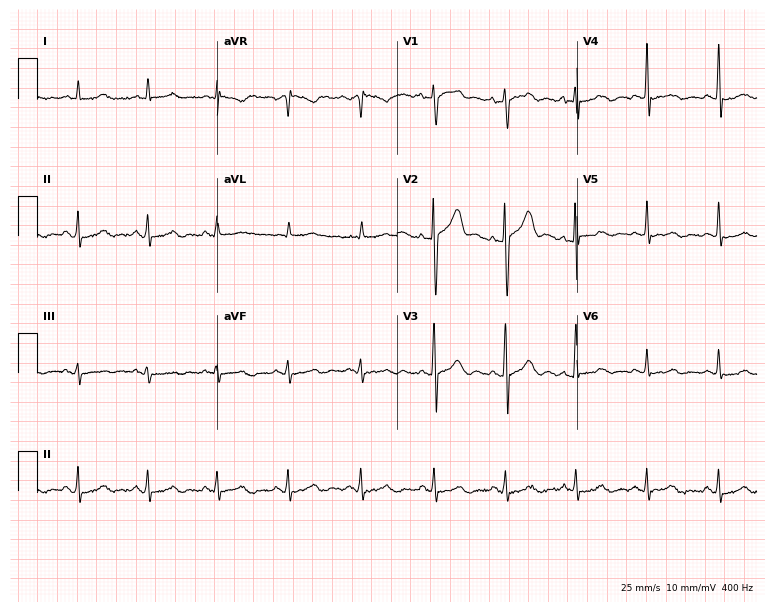
ECG (7.3-second recording at 400 Hz) — a man, 28 years old. Labelled as a normal ECG.